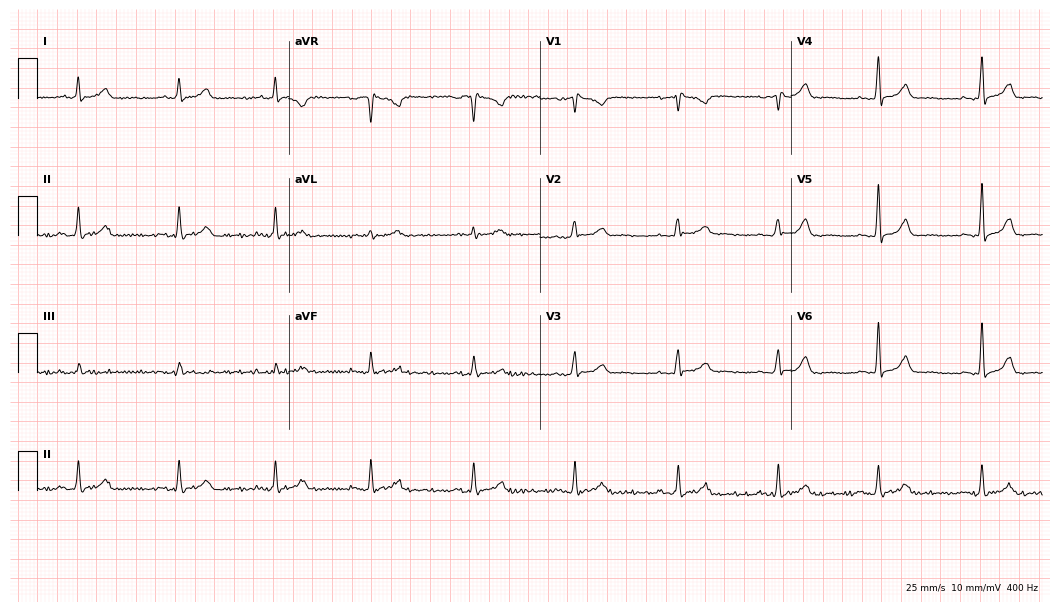
Standard 12-lead ECG recorded from a 58-year-old female (10.2-second recording at 400 Hz). None of these six findings is recorded: first-degree AV block, right bundle branch block, left bundle branch block, sinus bradycardia, atrial fibrillation, sinus tachycardia. Findings outside these six are not listed.